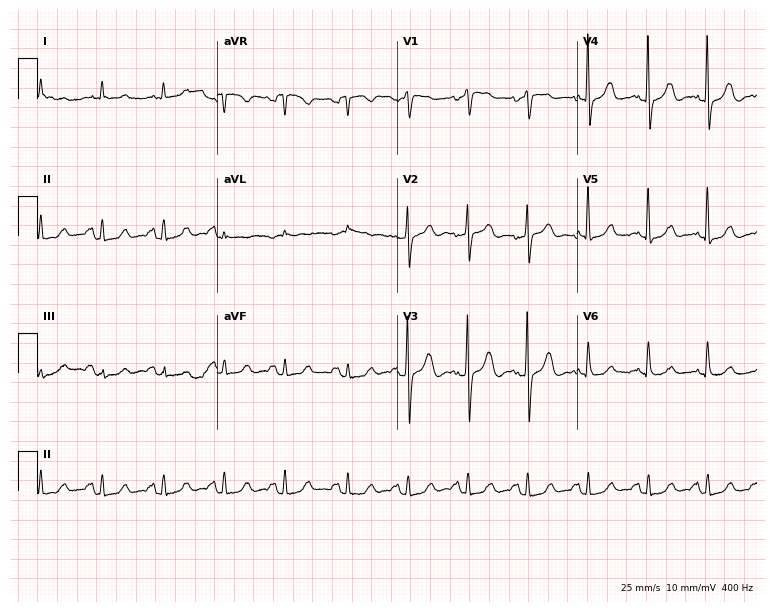
Electrocardiogram (7.3-second recording at 400 Hz), a female, 77 years old. Overall reading on record: normal ECG.